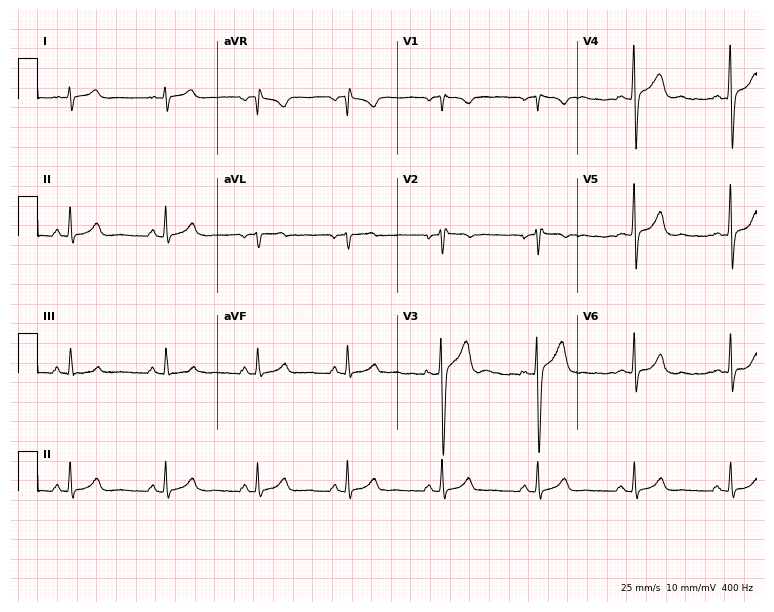
12-lead ECG from a 38-year-old male (7.3-second recording at 400 Hz). Recorded interpretation: within normal limits.